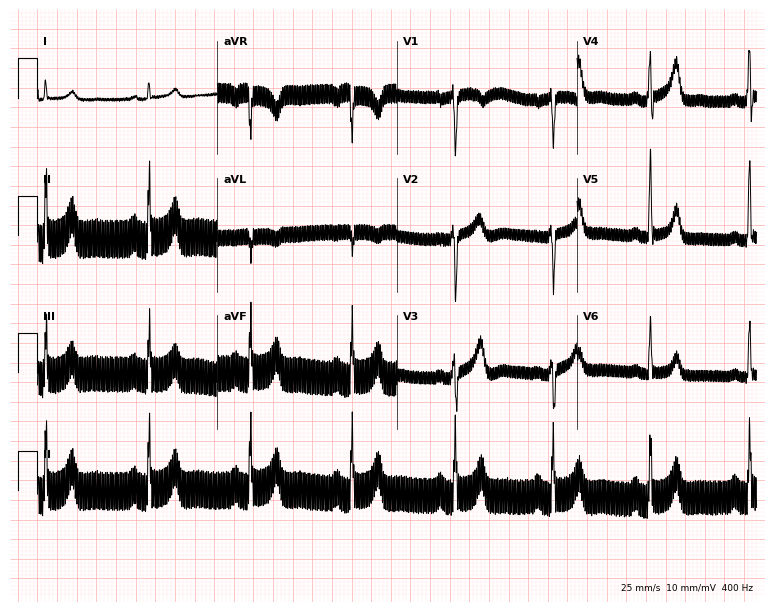
12-lead ECG from a male, 44 years old. Screened for six findings — first-degree AV block, right bundle branch block, left bundle branch block, sinus bradycardia, atrial fibrillation, sinus tachycardia — none is recorded. Findings outside these six are not listed.